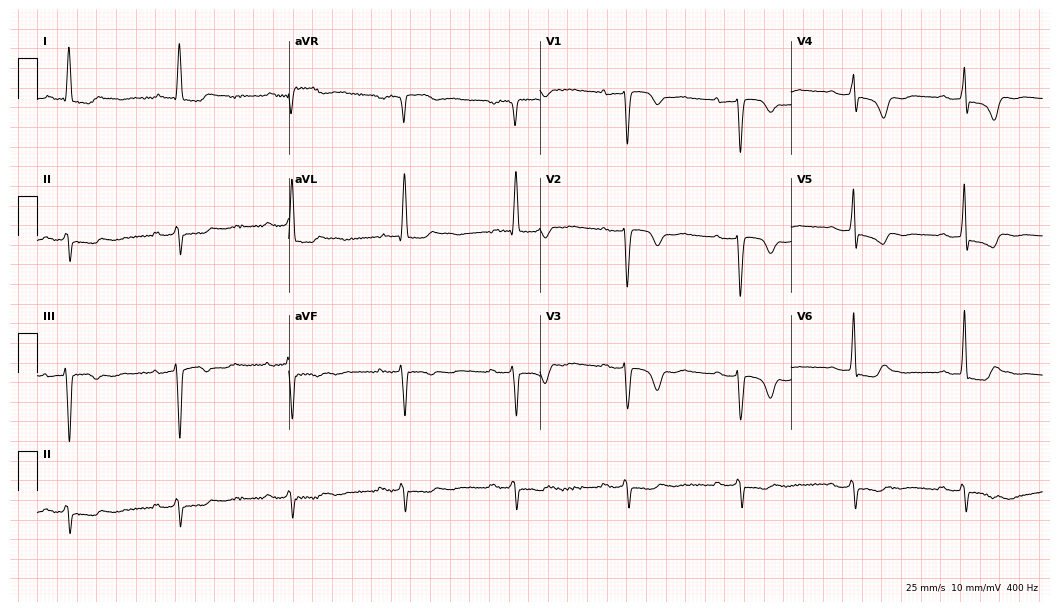
12-lead ECG (10.2-second recording at 400 Hz) from an 81-year-old female patient. Screened for six findings — first-degree AV block, right bundle branch block, left bundle branch block, sinus bradycardia, atrial fibrillation, sinus tachycardia — none is recorded. Only these six findings were labelled.